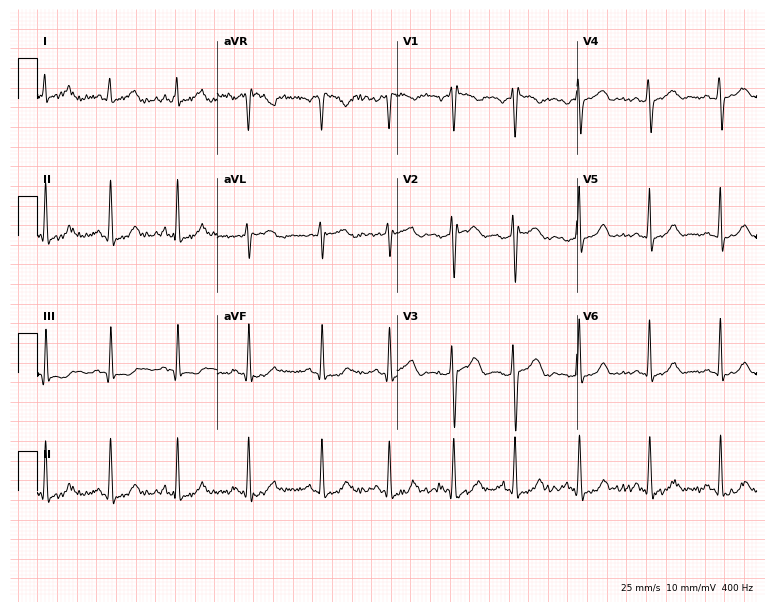
12-lead ECG (7.3-second recording at 400 Hz) from a 34-year-old woman. Screened for six findings — first-degree AV block, right bundle branch block, left bundle branch block, sinus bradycardia, atrial fibrillation, sinus tachycardia — none is recorded.